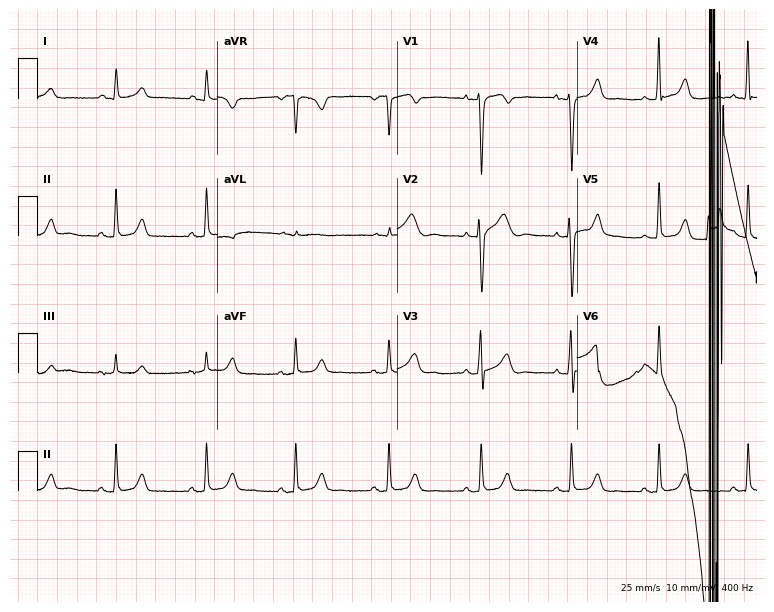
ECG (7.3-second recording at 400 Hz) — a 60-year-old man. Screened for six findings — first-degree AV block, right bundle branch block, left bundle branch block, sinus bradycardia, atrial fibrillation, sinus tachycardia — none is recorded. Other findings, if any, are not listed.